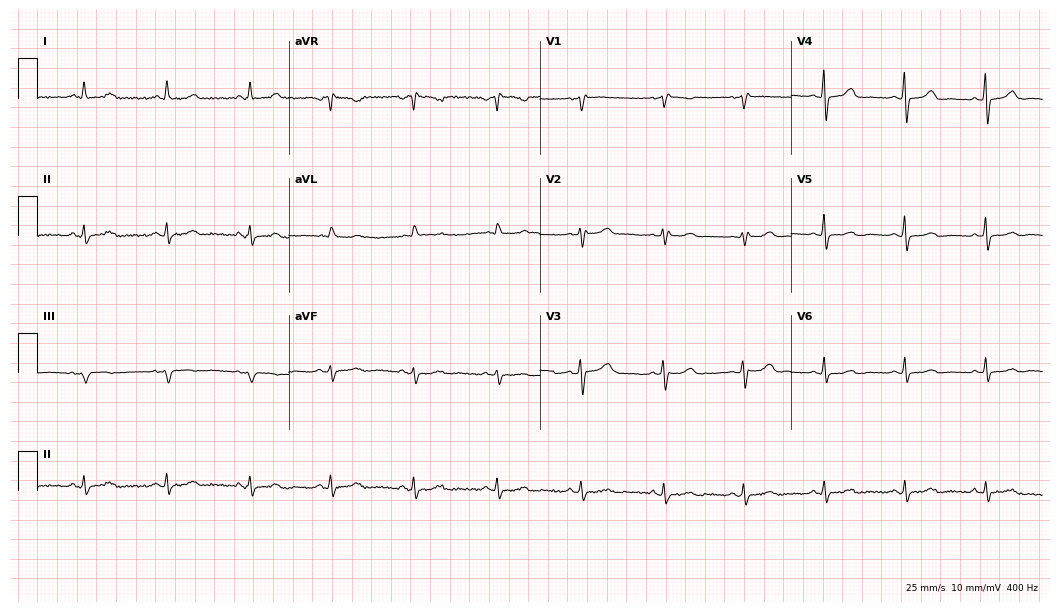
Standard 12-lead ECG recorded from a 64-year-old woman (10.2-second recording at 400 Hz). Read as a normal ECG.